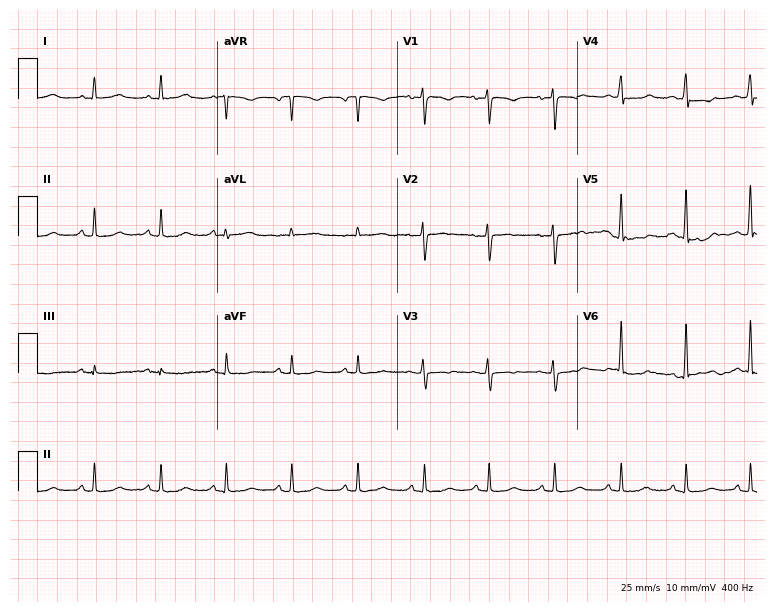
ECG (7.3-second recording at 400 Hz) — a 43-year-old female. Screened for six findings — first-degree AV block, right bundle branch block, left bundle branch block, sinus bradycardia, atrial fibrillation, sinus tachycardia — none is recorded.